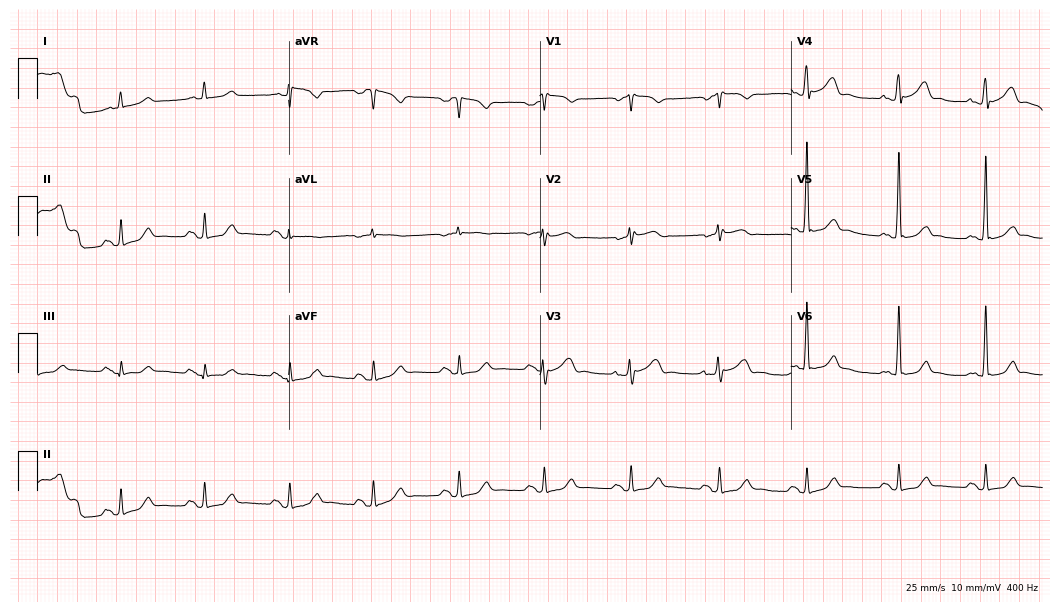
Electrocardiogram (10.2-second recording at 400 Hz), a man, 74 years old. Overall reading on record: normal ECG.